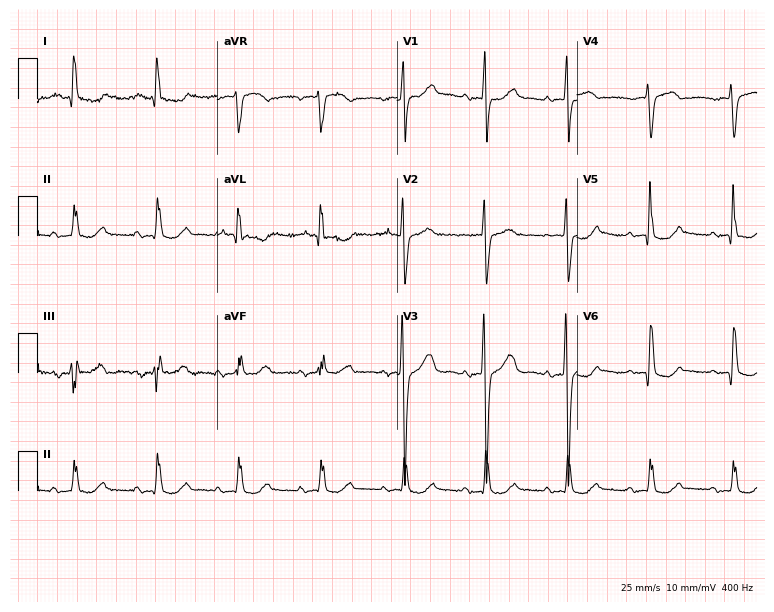
Electrocardiogram, a female patient, 69 years old. Interpretation includes first-degree AV block.